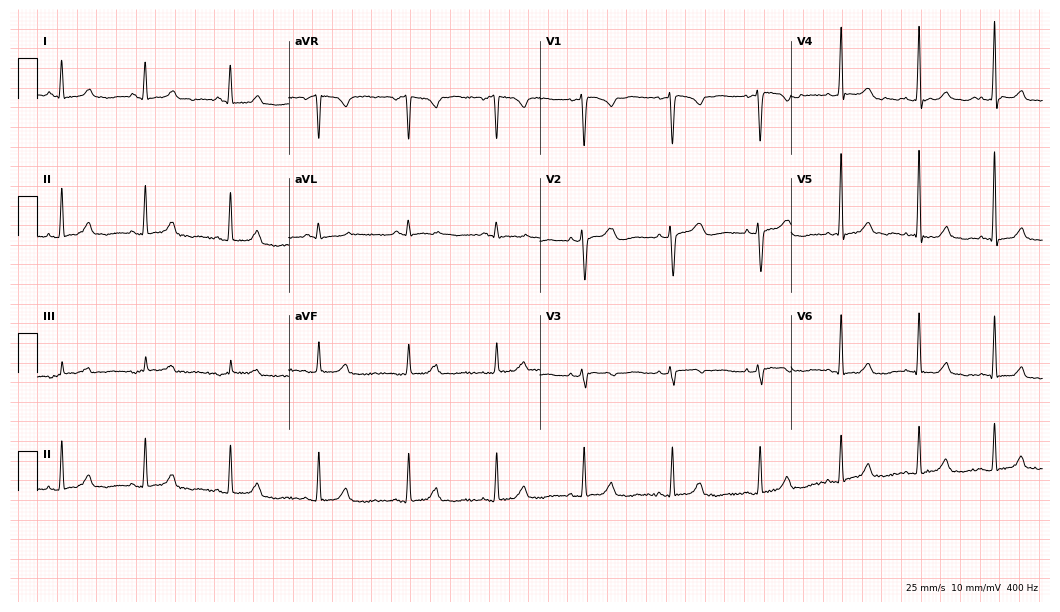
ECG — a 36-year-old female. Screened for six findings — first-degree AV block, right bundle branch block (RBBB), left bundle branch block (LBBB), sinus bradycardia, atrial fibrillation (AF), sinus tachycardia — none is recorded.